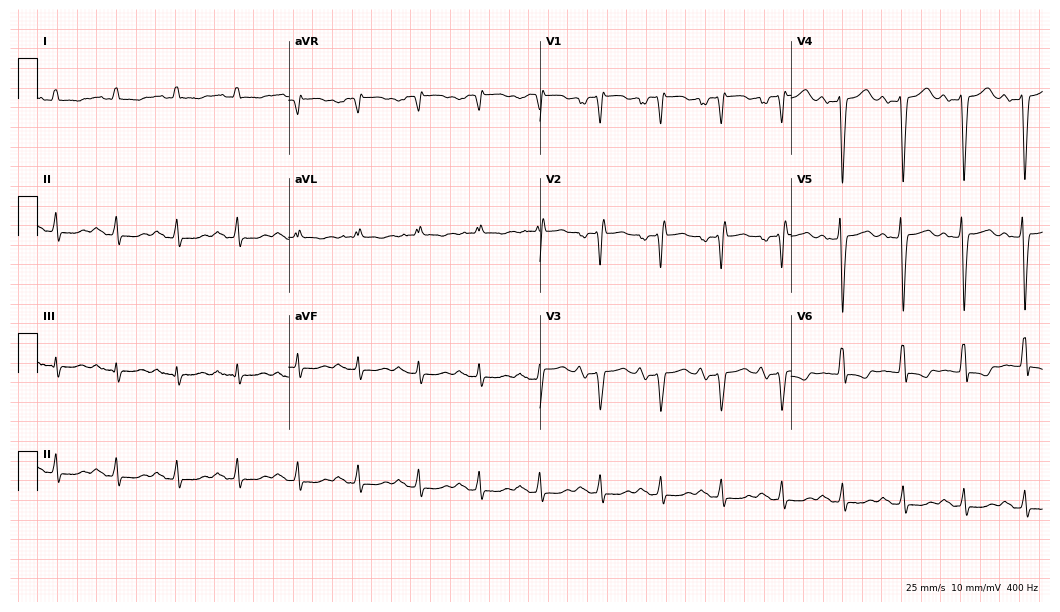
Standard 12-lead ECG recorded from a 56-year-old male. The tracing shows first-degree AV block.